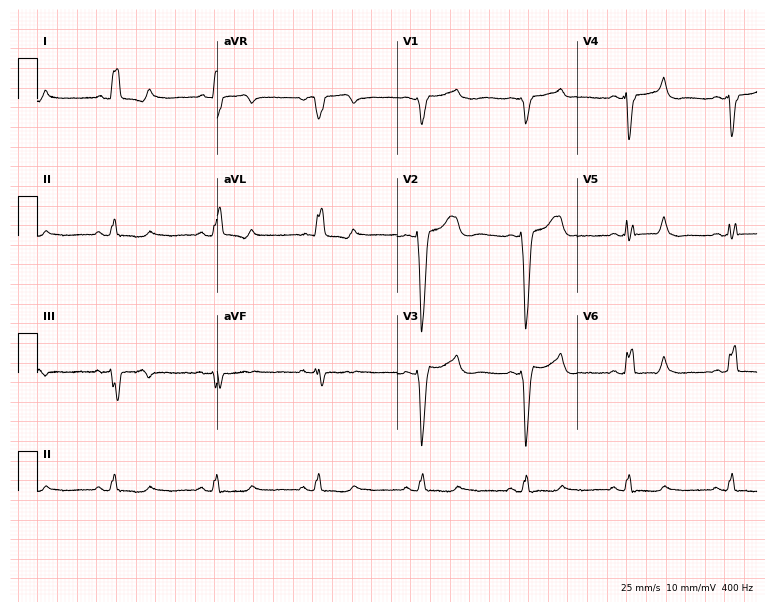
12-lead ECG (7.3-second recording at 400 Hz) from a male patient, 62 years old. Findings include left bundle branch block.